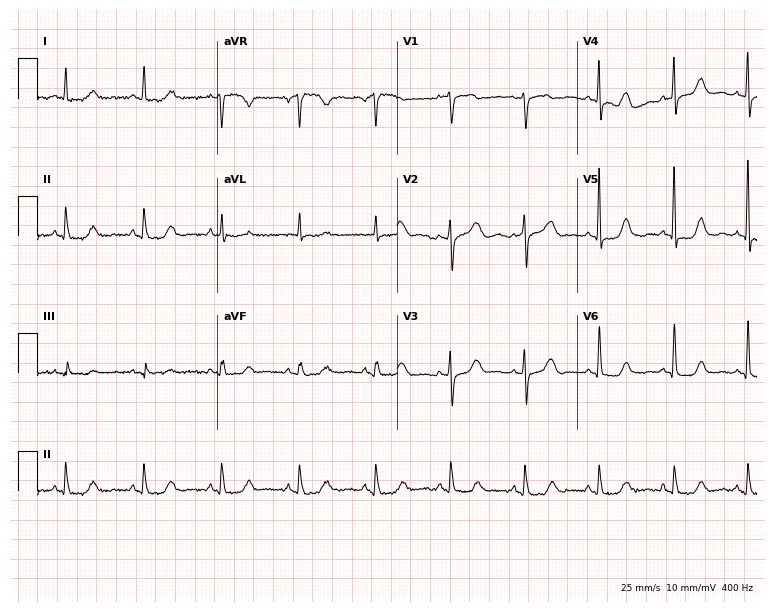
ECG — a 70-year-old woman. Screened for six findings — first-degree AV block, right bundle branch block, left bundle branch block, sinus bradycardia, atrial fibrillation, sinus tachycardia — none is recorded.